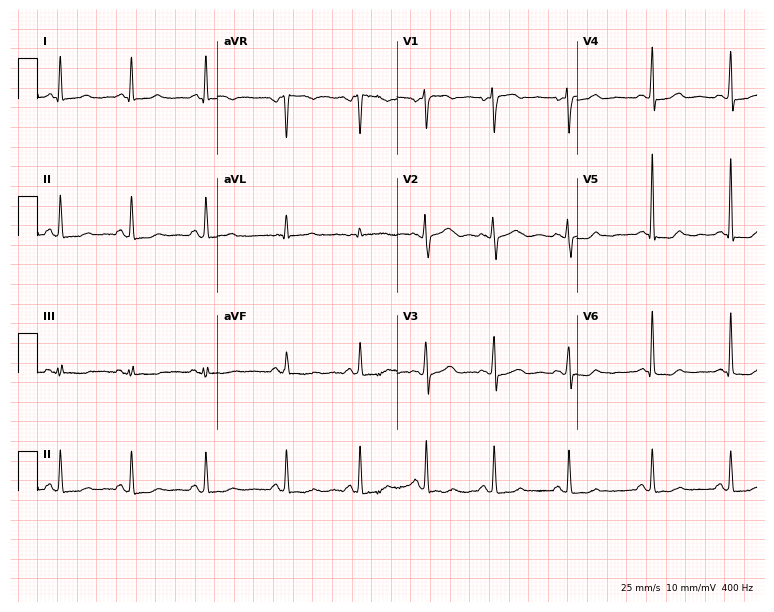
Electrocardiogram, a woman, 53 years old. Of the six screened findings (first-degree AV block, right bundle branch block, left bundle branch block, sinus bradycardia, atrial fibrillation, sinus tachycardia), none is recorded. Only these six findings were labelled.